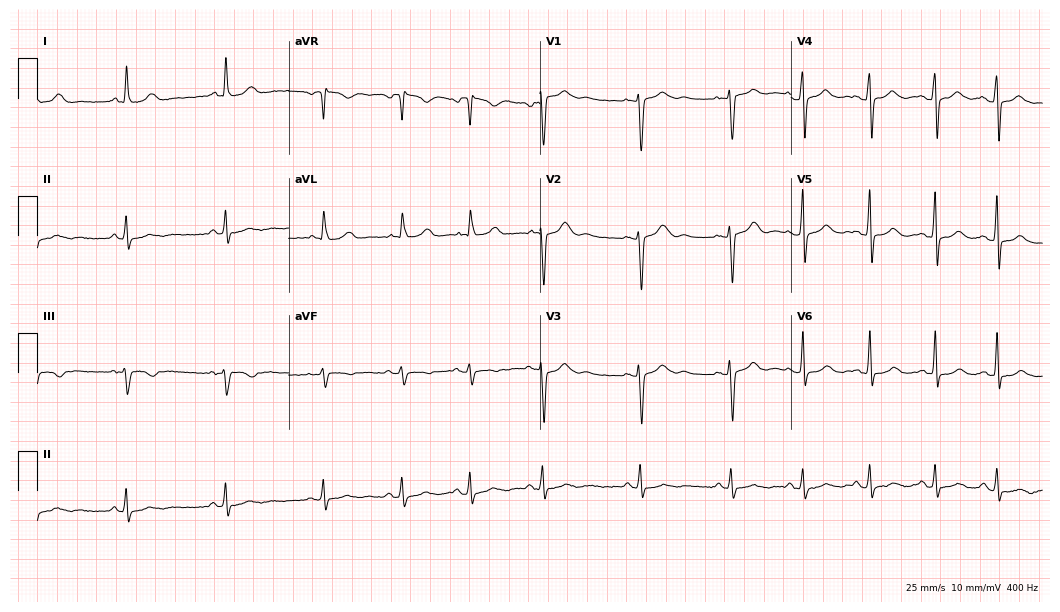
12-lead ECG from a 17-year-old female. No first-degree AV block, right bundle branch block (RBBB), left bundle branch block (LBBB), sinus bradycardia, atrial fibrillation (AF) or sinus tachycardia recorded for this tracing.